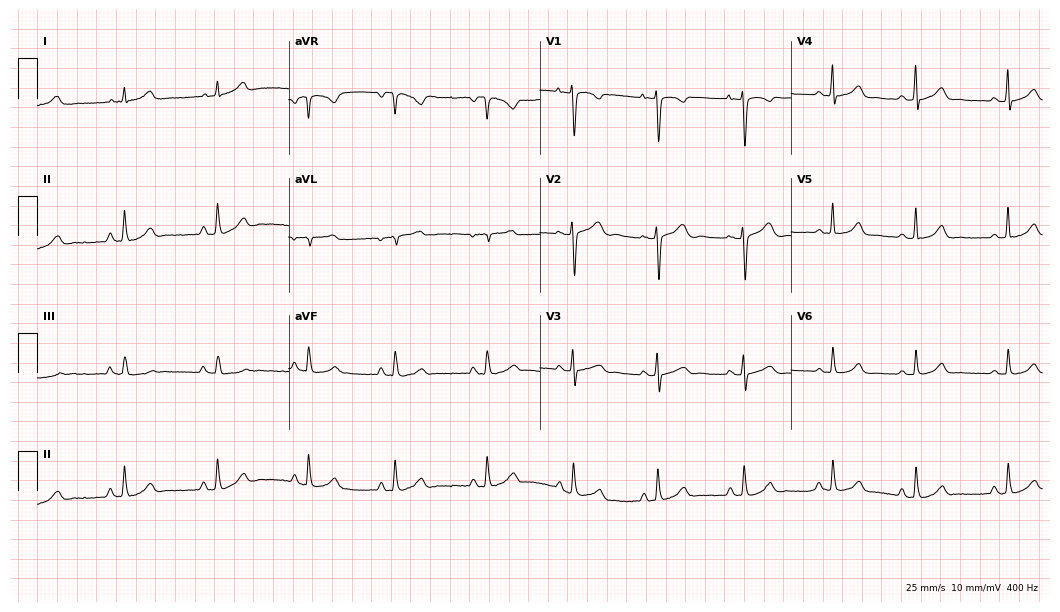
Standard 12-lead ECG recorded from a 24-year-old female. Read as a normal ECG.